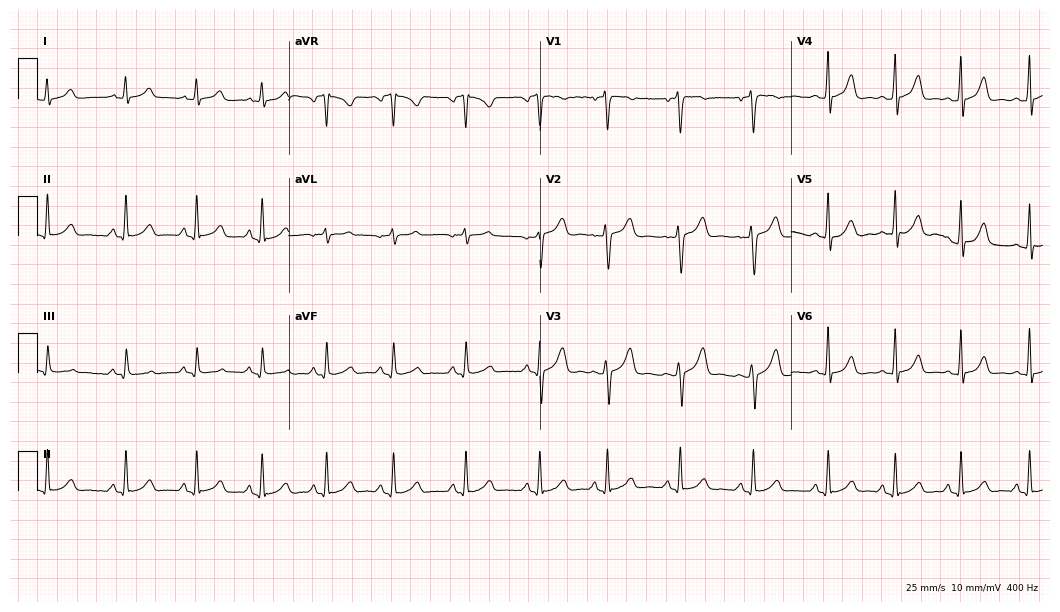
Resting 12-lead electrocardiogram (10.2-second recording at 400 Hz). Patient: an 18-year-old female. Read as a normal ECG.